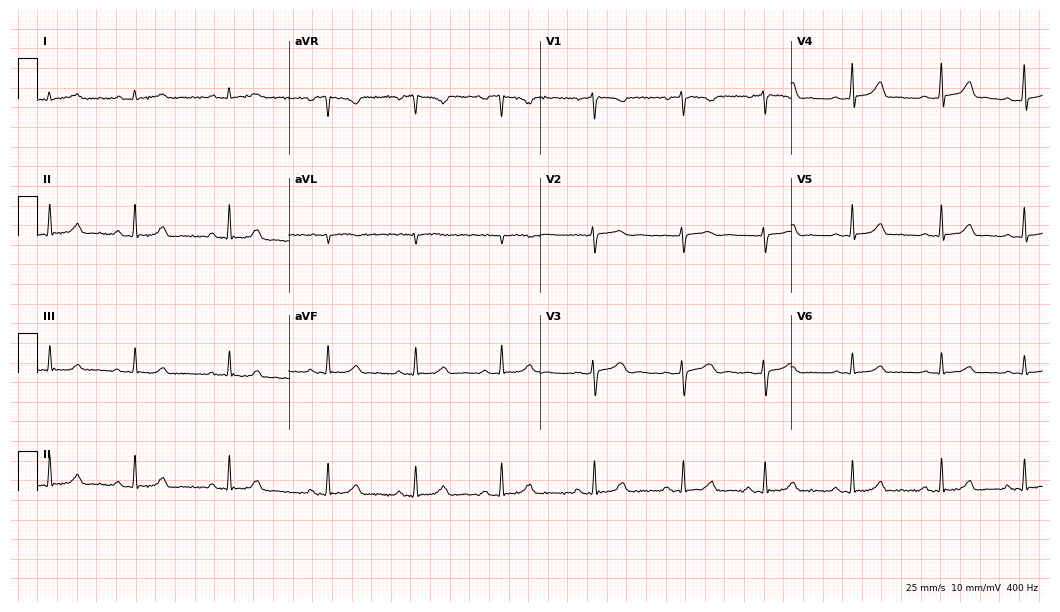
12-lead ECG from a woman, 27 years old. Screened for six findings — first-degree AV block, right bundle branch block, left bundle branch block, sinus bradycardia, atrial fibrillation, sinus tachycardia — none is recorded.